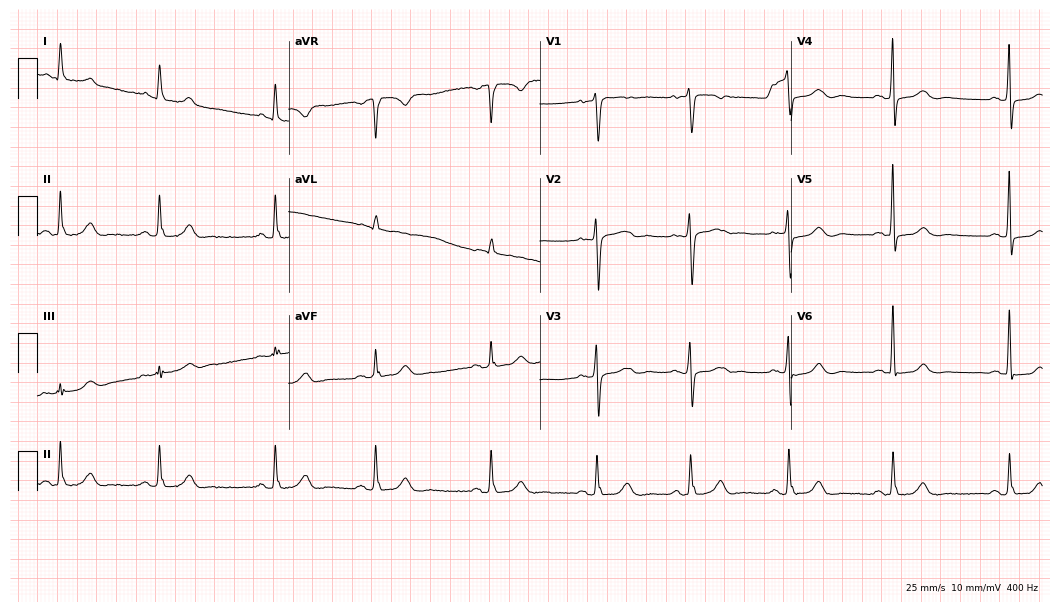
12-lead ECG (10.2-second recording at 400 Hz) from a female, 78 years old. Labelled as a normal ECG.